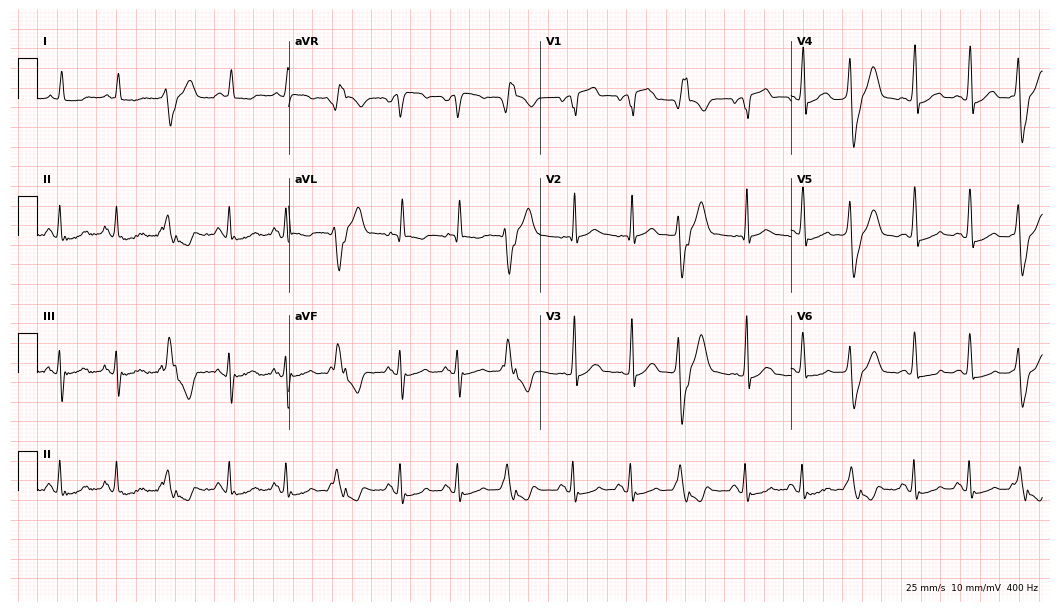
Electrocardiogram, a male, 73 years old. Overall reading on record: normal ECG.